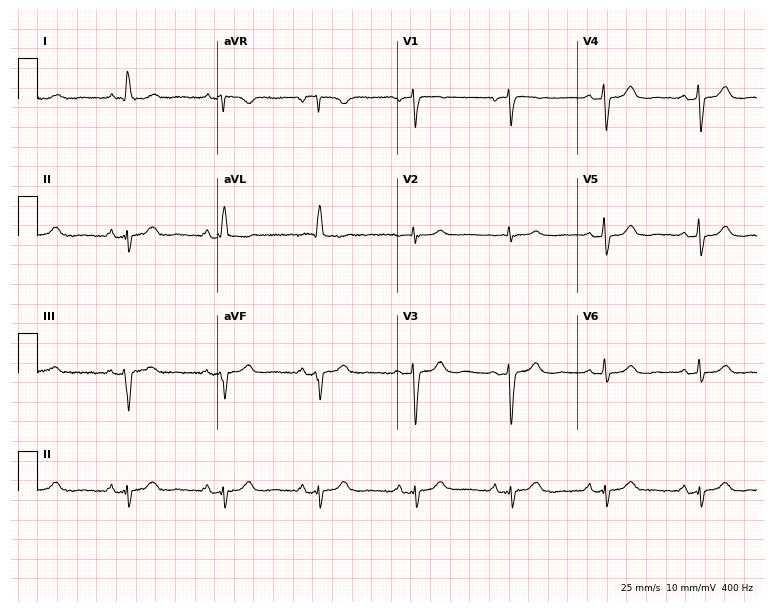
Standard 12-lead ECG recorded from an 81-year-old woman. None of these six findings is recorded: first-degree AV block, right bundle branch block, left bundle branch block, sinus bradycardia, atrial fibrillation, sinus tachycardia.